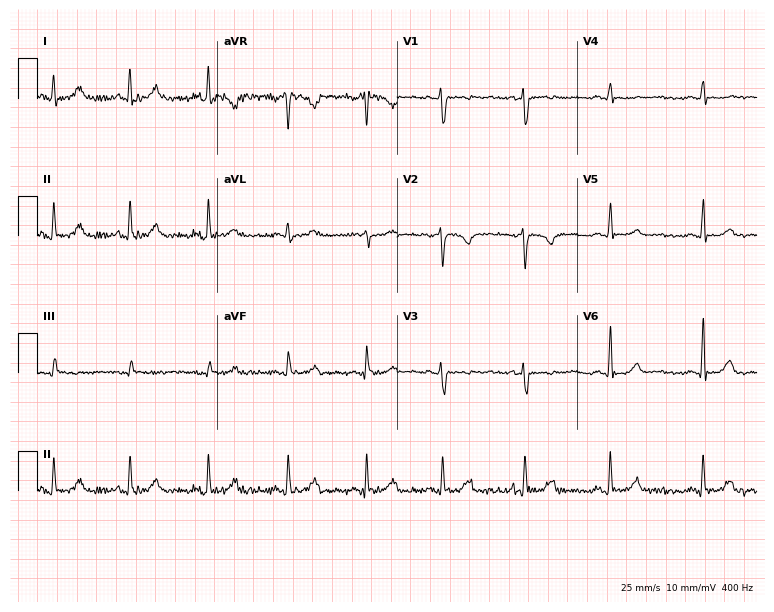
ECG — a woman, 38 years old. Labelled as a normal ECG.